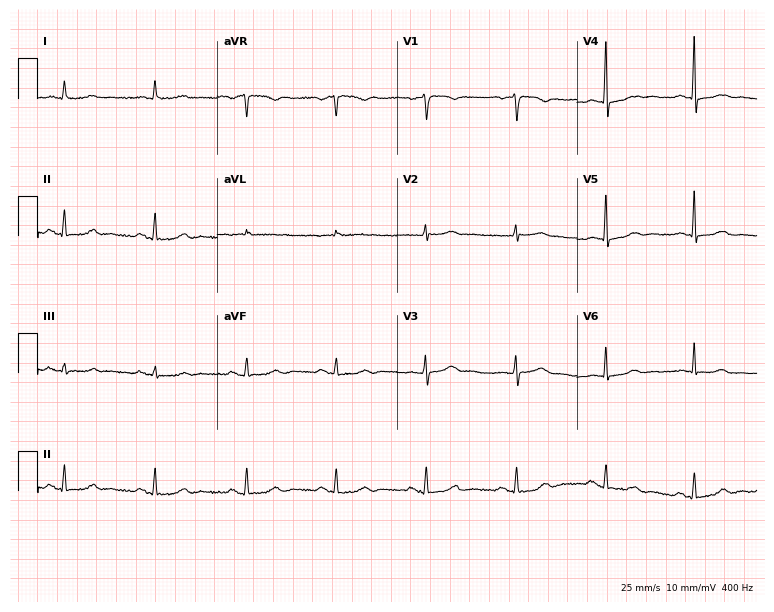
Resting 12-lead electrocardiogram. Patient: a 53-year-old female. None of these six findings is recorded: first-degree AV block, right bundle branch block, left bundle branch block, sinus bradycardia, atrial fibrillation, sinus tachycardia.